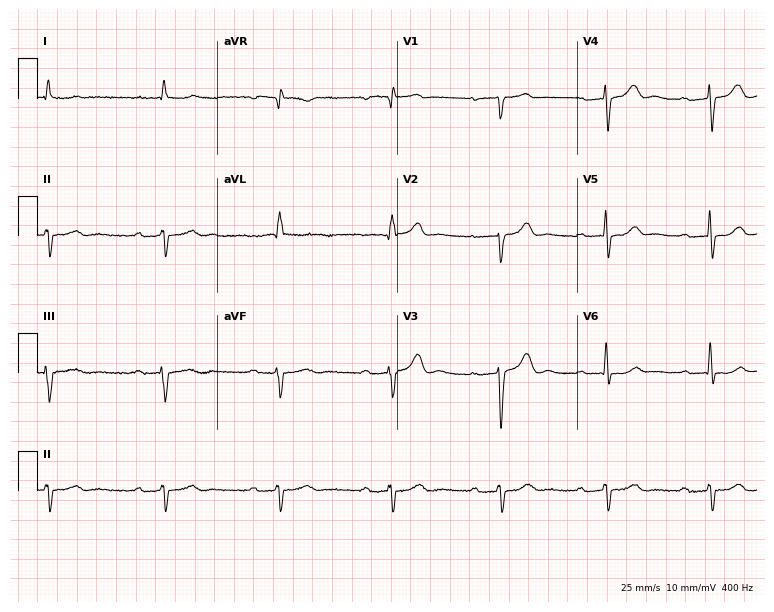
ECG — a male patient, 79 years old. Findings include first-degree AV block.